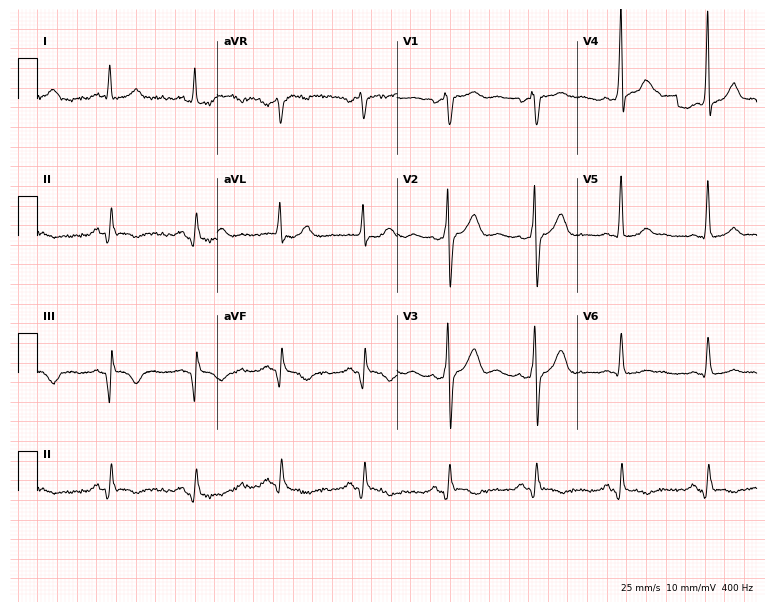
Standard 12-lead ECG recorded from a 64-year-old male. None of these six findings is recorded: first-degree AV block, right bundle branch block (RBBB), left bundle branch block (LBBB), sinus bradycardia, atrial fibrillation (AF), sinus tachycardia.